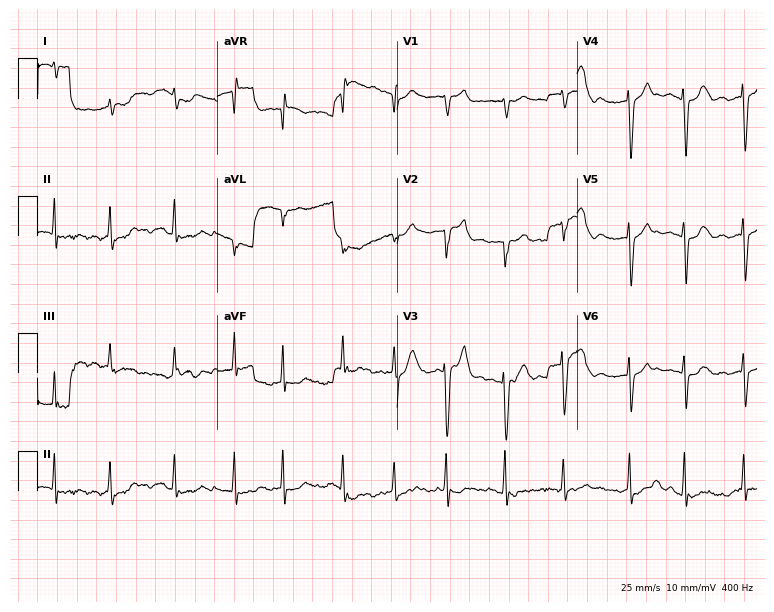
12-lead ECG from a 76-year-old male. Screened for six findings — first-degree AV block, right bundle branch block (RBBB), left bundle branch block (LBBB), sinus bradycardia, atrial fibrillation (AF), sinus tachycardia — none is recorded. Only these six findings were labelled.